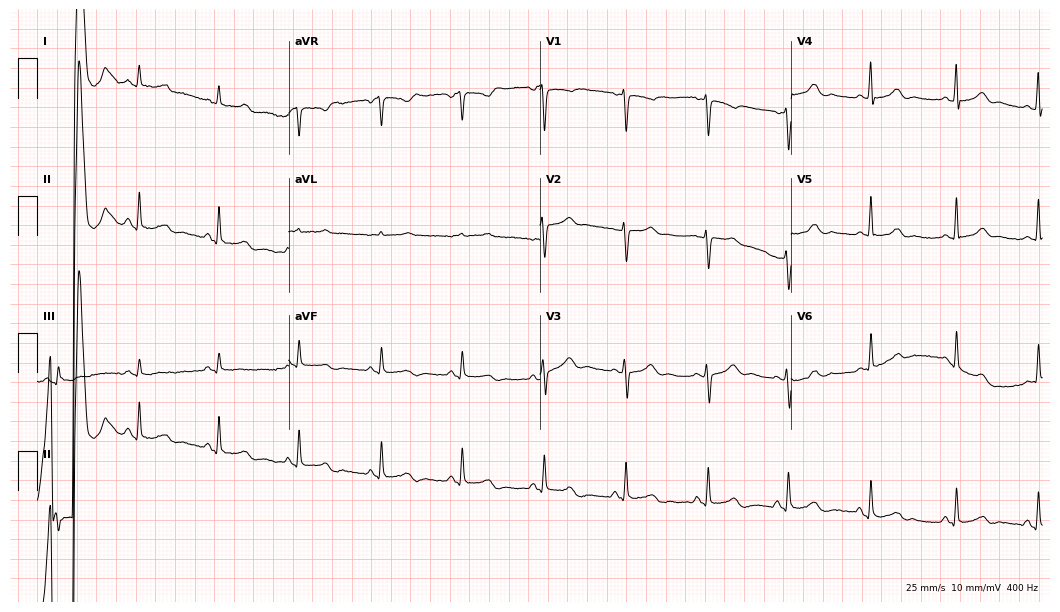
ECG — a woman, 52 years old. Labelled as a normal ECG.